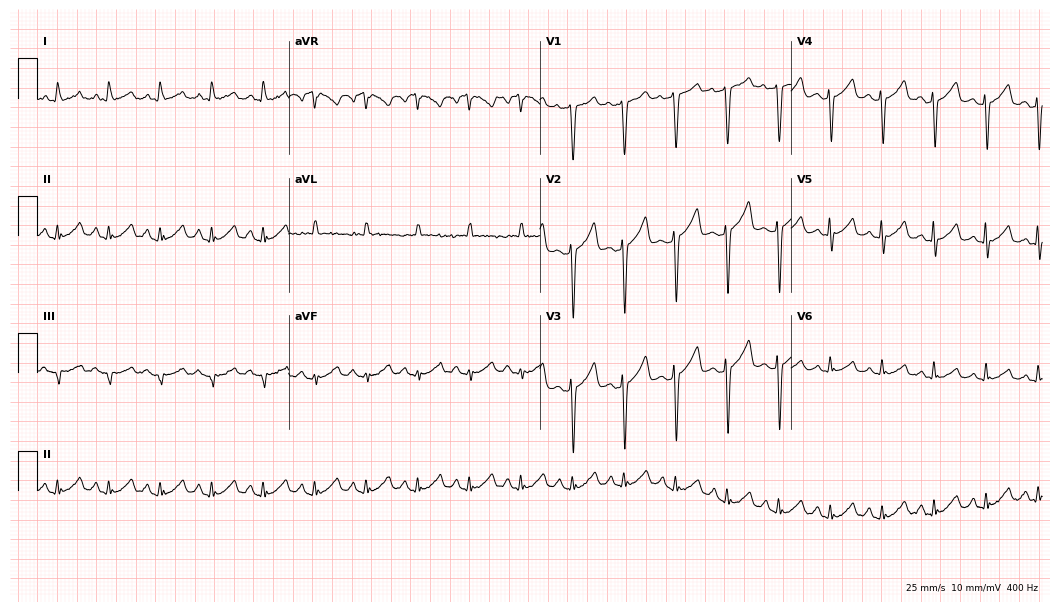
12-lead ECG from a woman, 60 years old (10.2-second recording at 400 Hz). Shows sinus tachycardia (a sinus rate of 100 beats per minute or more).